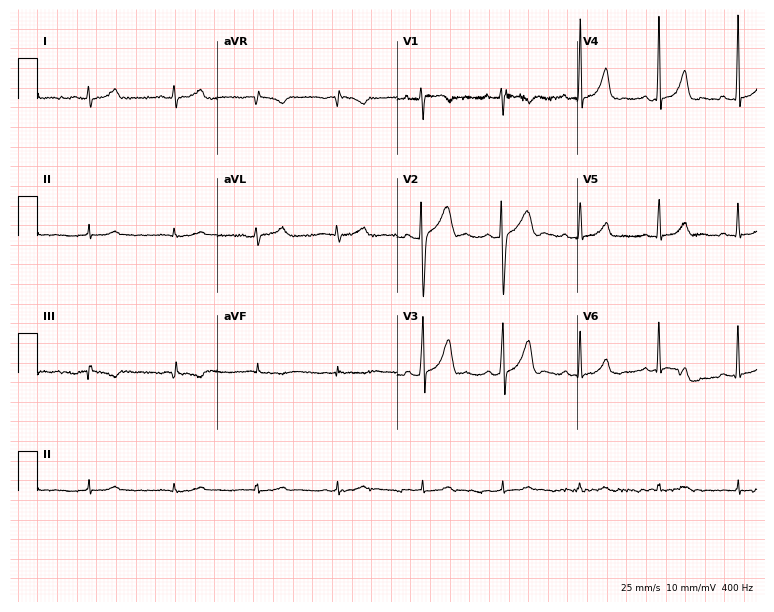
12-lead ECG from a woman, 25 years old. Screened for six findings — first-degree AV block, right bundle branch block, left bundle branch block, sinus bradycardia, atrial fibrillation, sinus tachycardia — none is recorded. Other findings, if any, are not listed.